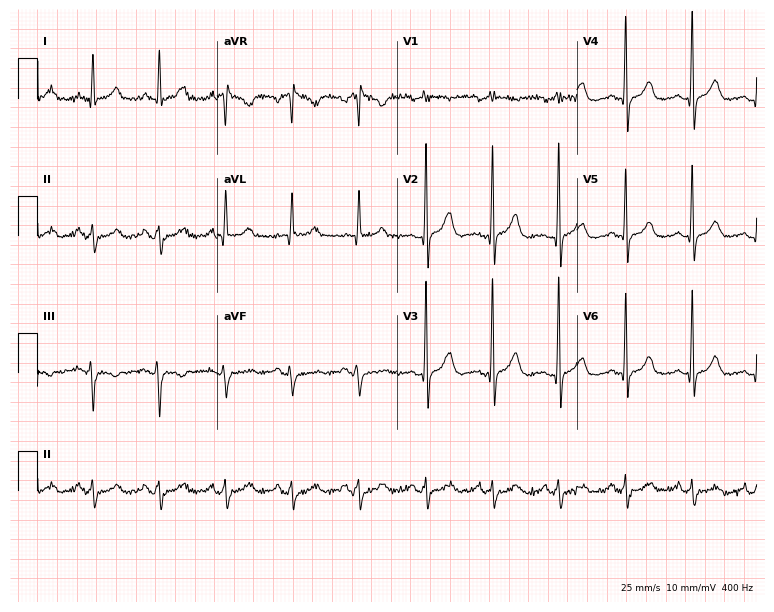
ECG (7.3-second recording at 400 Hz) — a male, 65 years old. Screened for six findings — first-degree AV block, right bundle branch block, left bundle branch block, sinus bradycardia, atrial fibrillation, sinus tachycardia — none is recorded.